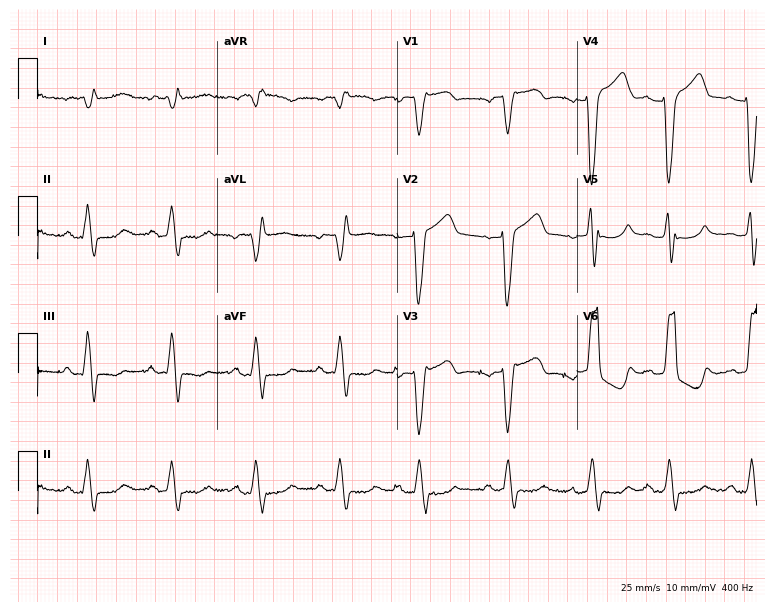
12-lead ECG from a woman, 78 years old. No first-degree AV block, right bundle branch block, left bundle branch block, sinus bradycardia, atrial fibrillation or sinus tachycardia recorded for this tracing.